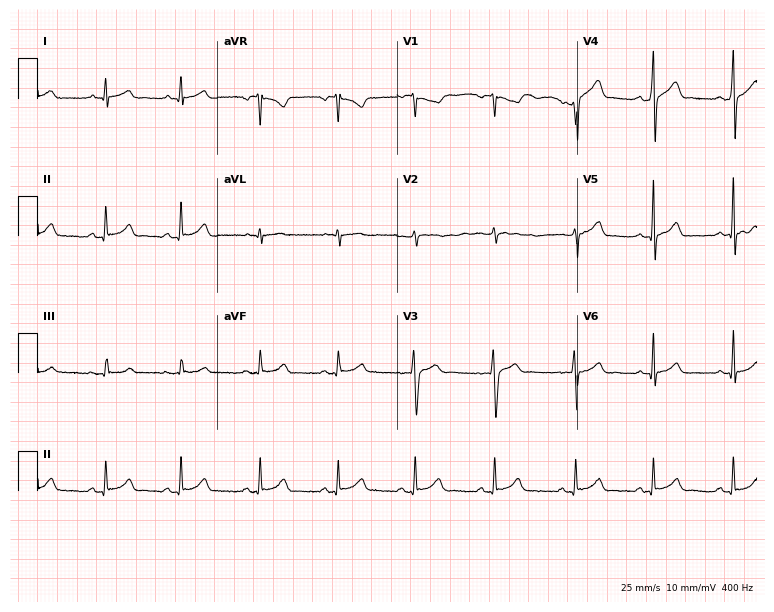
Standard 12-lead ECG recorded from a man, 36 years old. None of these six findings is recorded: first-degree AV block, right bundle branch block (RBBB), left bundle branch block (LBBB), sinus bradycardia, atrial fibrillation (AF), sinus tachycardia. Only these six findings were labelled.